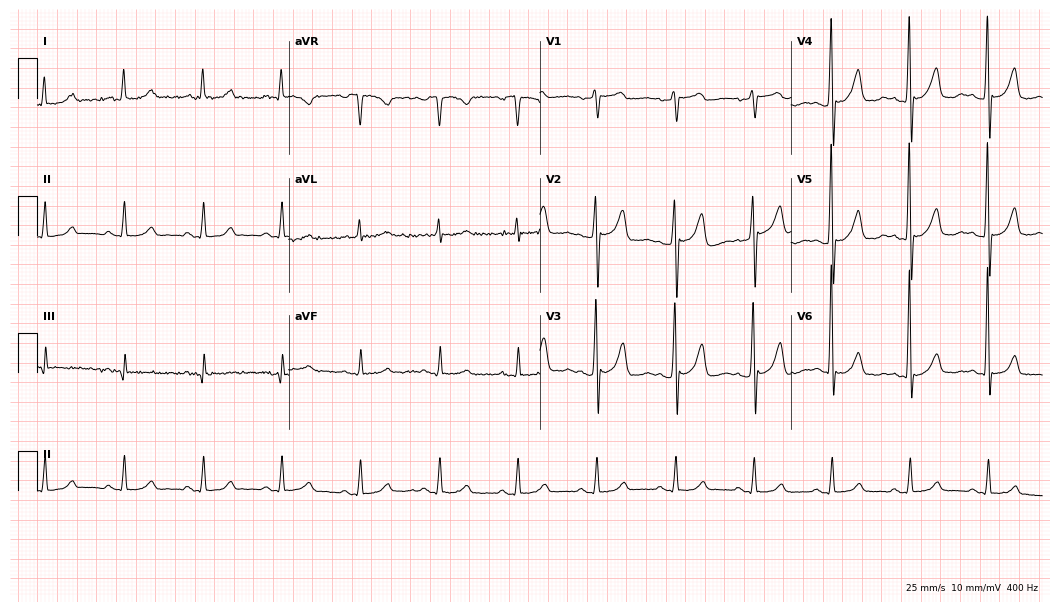
Electrocardiogram, a 68-year-old male. Overall reading on record: normal ECG.